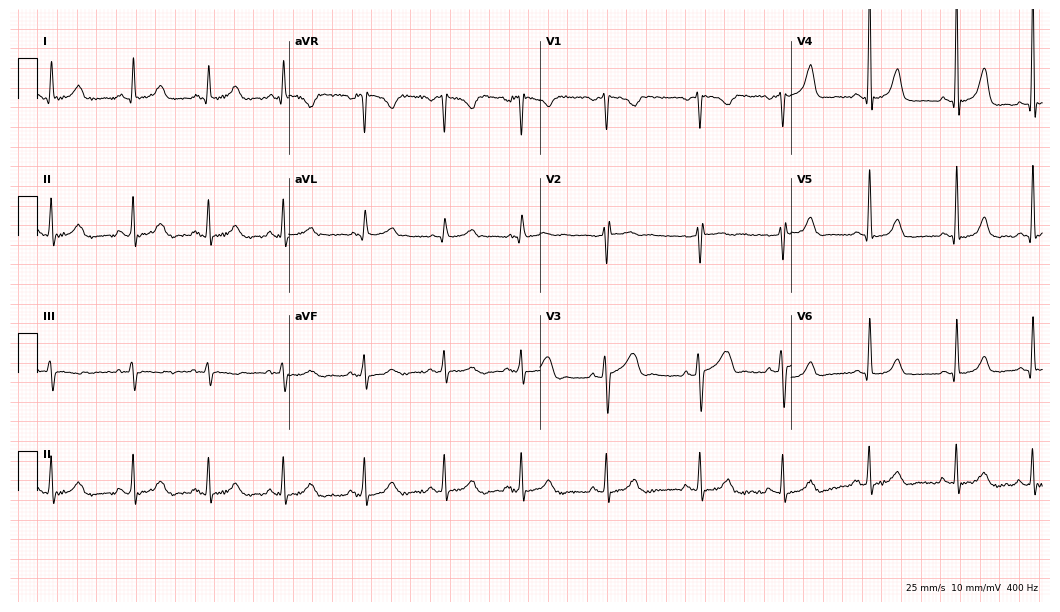
Electrocardiogram (10.2-second recording at 400 Hz), a woman, 40 years old. Of the six screened findings (first-degree AV block, right bundle branch block (RBBB), left bundle branch block (LBBB), sinus bradycardia, atrial fibrillation (AF), sinus tachycardia), none is recorded. Only these six findings were labelled.